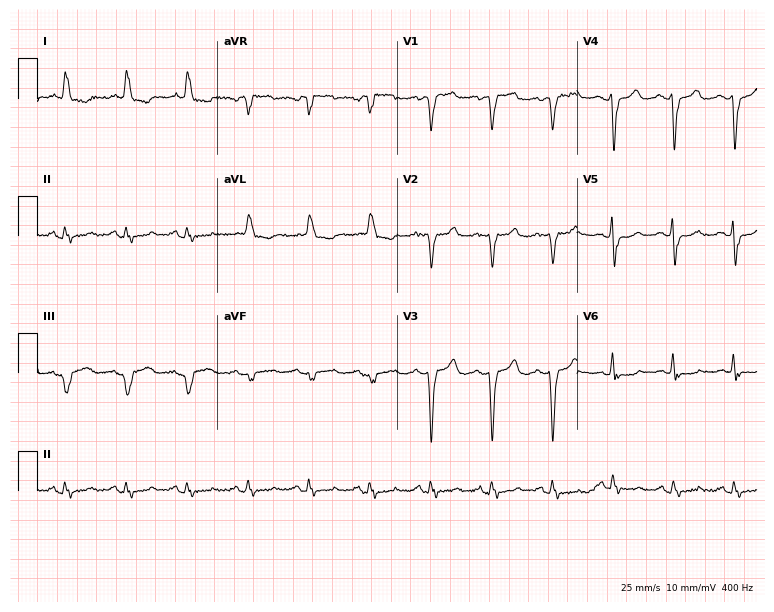
12-lead ECG from a 79-year-old female patient. No first-degree AV block, right bundle branch block, left bundle branch block, sinus bradycardia, atrial fibrillation or sinus tachycardia recorded for this tracing.